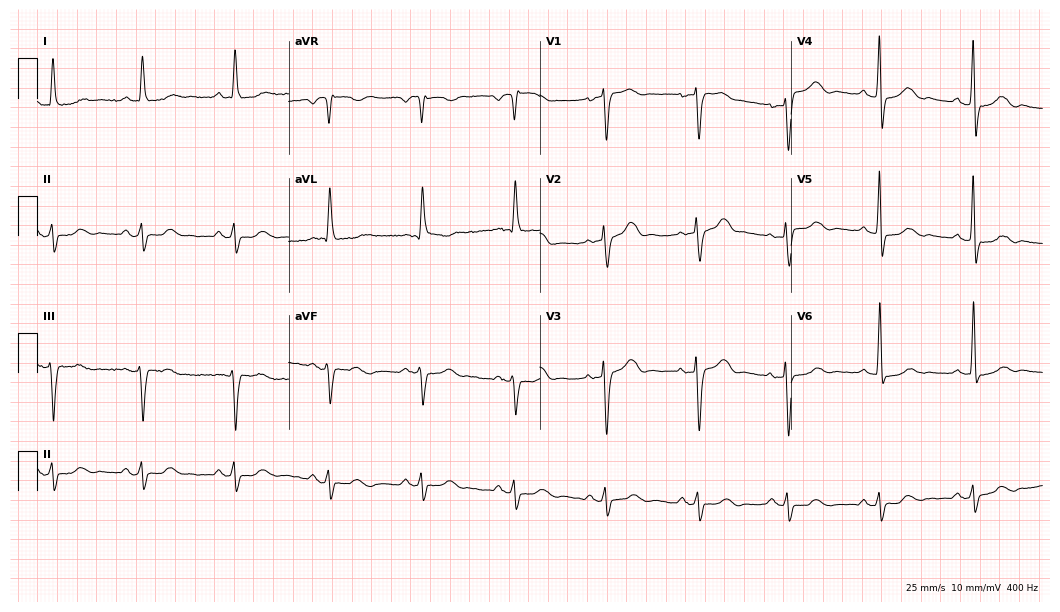
ECG (10.2-second recording at 400 Hz) — a female patient, 76 years old. Screened for six findings — first-degree AV block, right bundle branch block, left bundle branch block, sinus bradycardia, atrial fibrillation, sinus tachycardia — none is recorded.